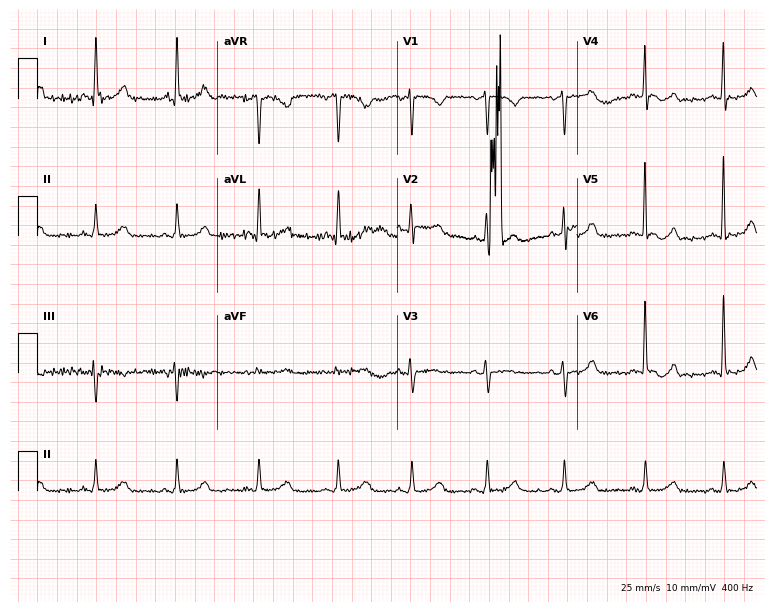
ECG — a female patient, 72 years old. Labelled as a normal ECG.